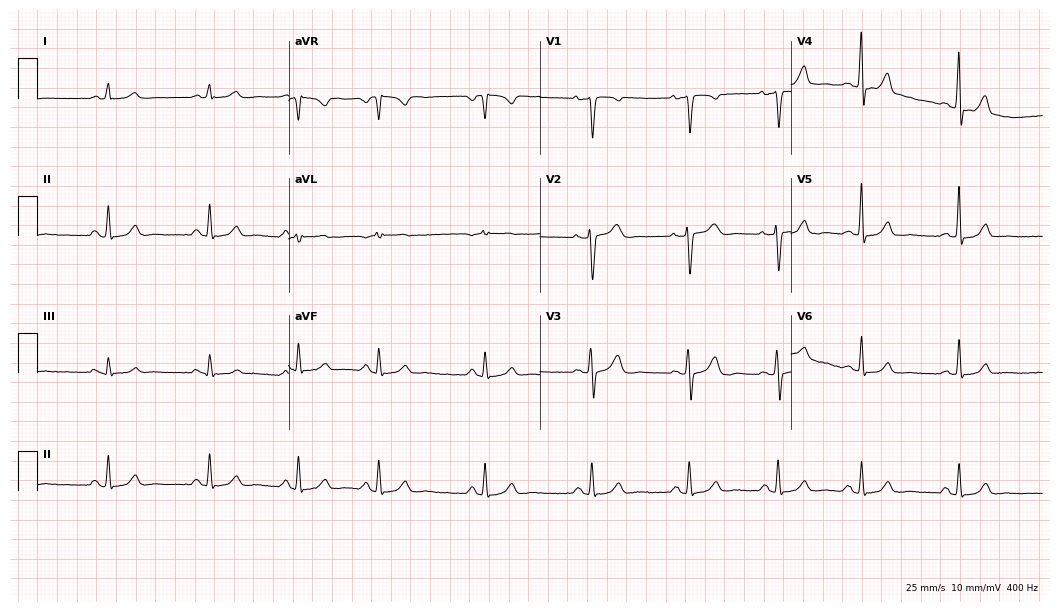
ECG — a female patient, 33 years old. Screened for six findings — first-degree AV block, right bundle branch block, left bundle branch block, sinus bradycardia, atrial fibrillation, sinus tachycardia — none is recorded.